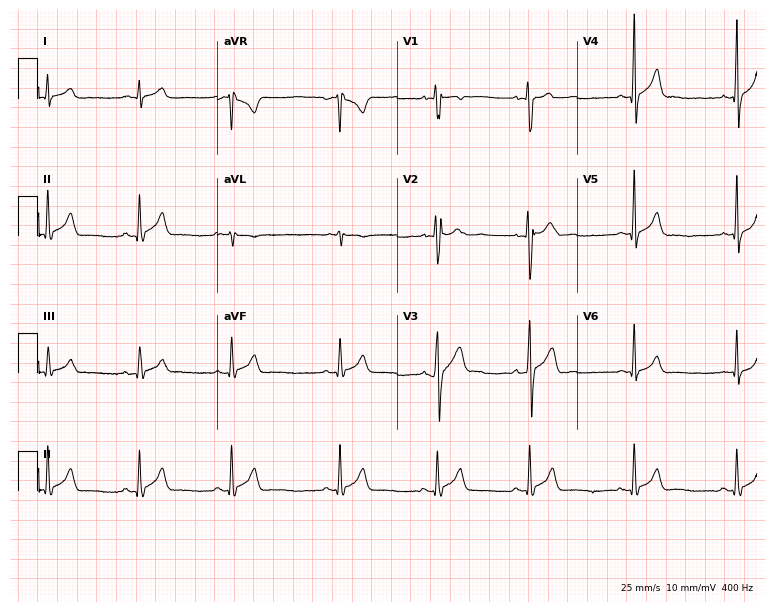
12-lead ECG from a man, 18 years old. Recorded interpretation: within normal limits.